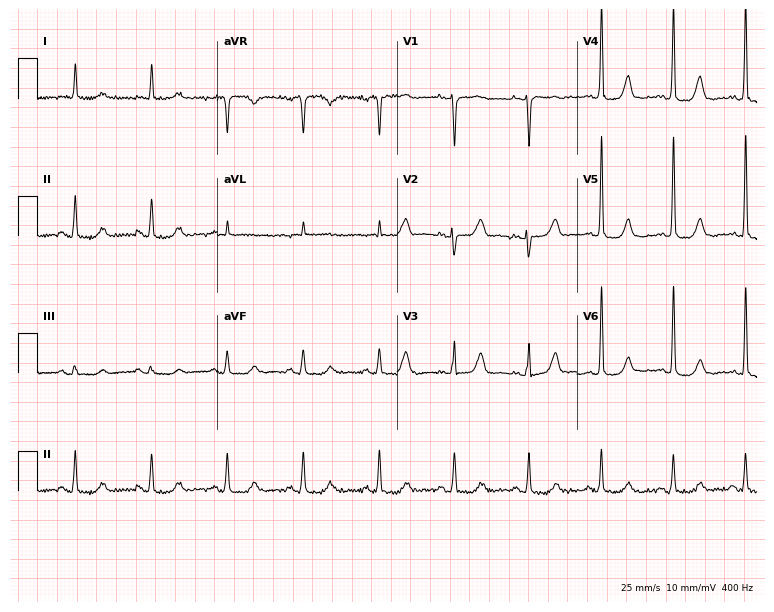
Electrocardiogram (7.3-second recording at 400 Hz), a female, 83 years old. Overall reading on record: normal ECG.